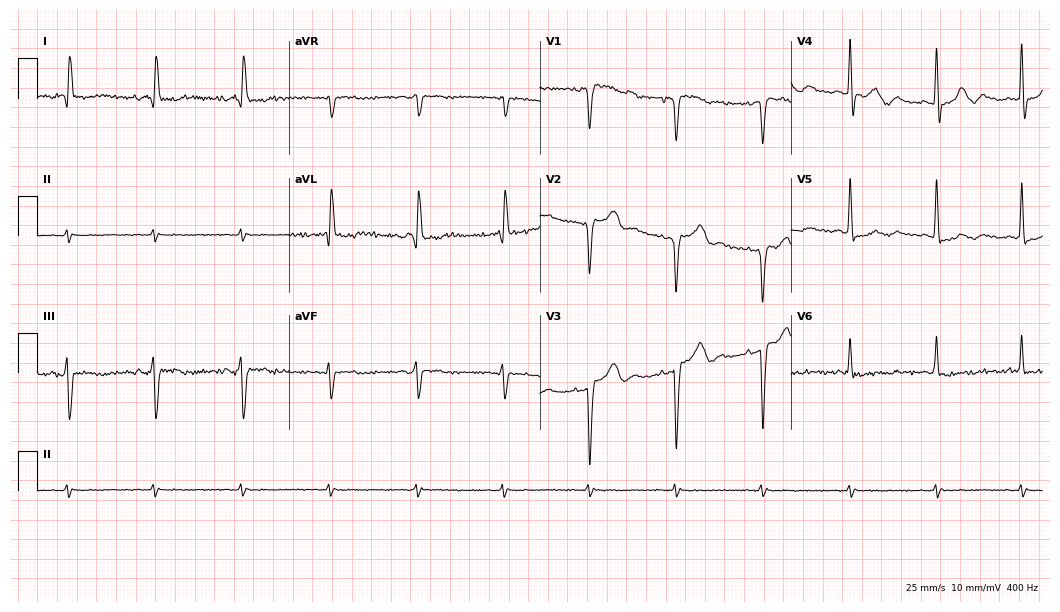
12-lead ECG from an 81-year-old female patient. Labelled as a normal ECG.